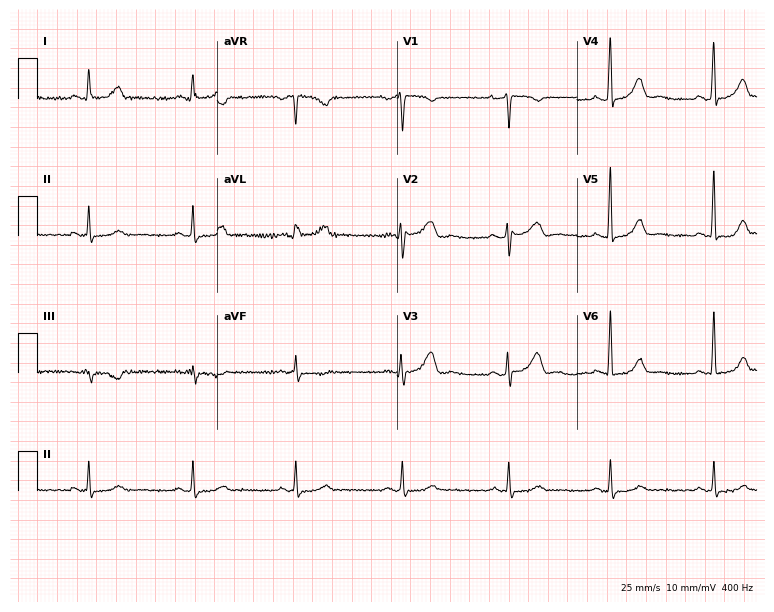
12-lead ECG from a 30-year-old female. Screened for six findings — first-degree AV block, right bundle branch block, left bundle branch block, sinus bradycardia, atrial fibrillation, sinus tachycardia — none is recorded.